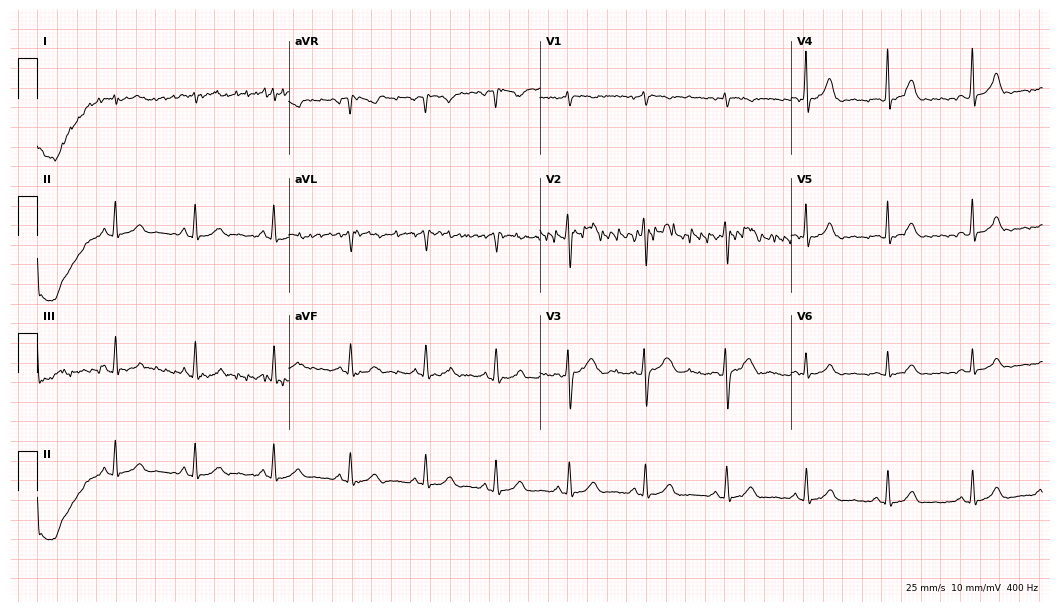
Electrocardiogram, a 27-year-old female patient. Of the six screened findings (first-degree AV block, right bundle branch block, left bundle branch block, sinus bradycardia, atrial fibrillation, sinus tachycardia), none is recorded.